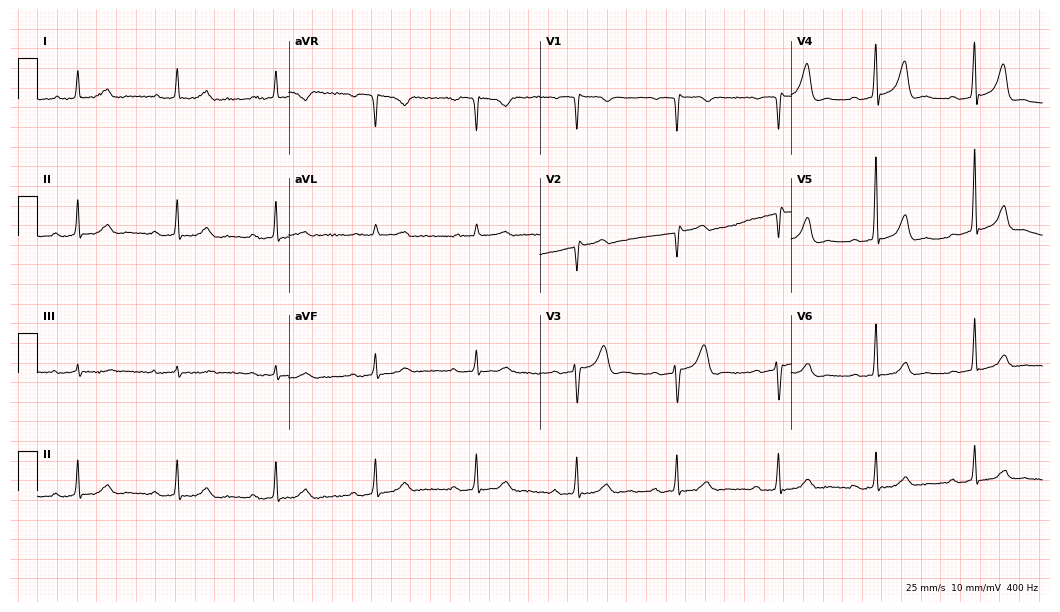
Resting 12-lead electrocardiogram. Patient: a 52-year-old male. None of these six findings is recorded: first-degree AV block, right bundle branch block (RBBB), left bundle branch block (LBBB), sinus bradycardia, atrial fibrillation (AF), sinus tachycardia. Other findings, if any, are not listed.